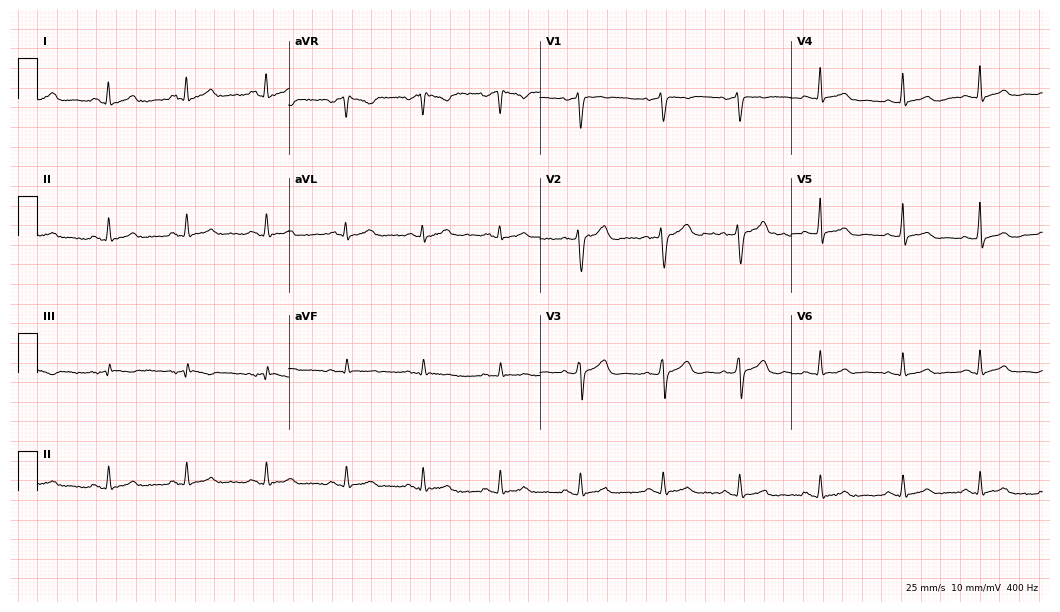
ECG — a 32-year-old female. Labelled as a normal ECG.